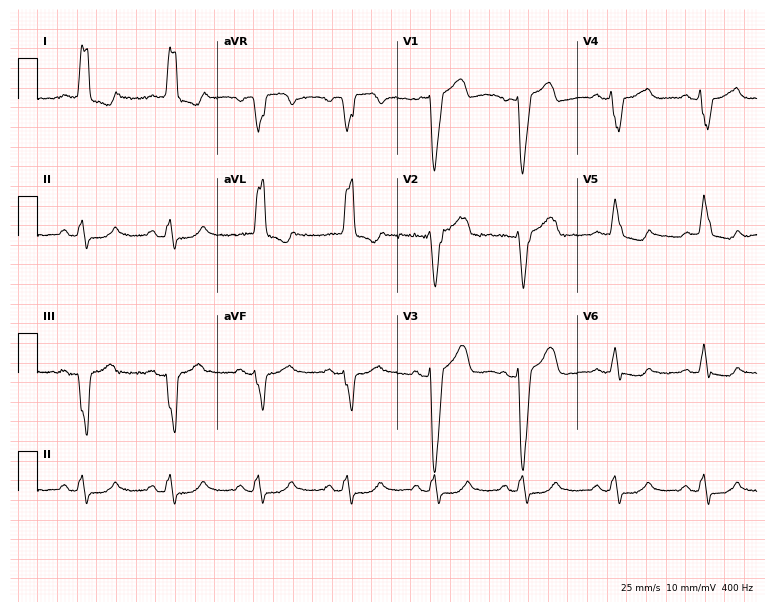
Standard 12-lead ECG recorded from a 71-year-old female patient (7.3-second recording at 400 Hz). The tracing shows left bundle branch block (LBBB).